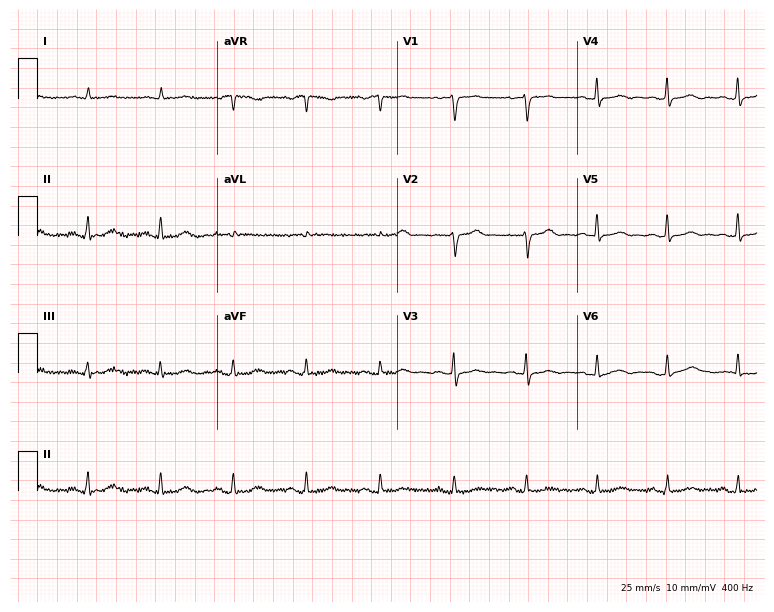
Electrocardiogram, a 47-year-old woman. Of the six screened findings (first-degree AV block, right bundle branch block (RBBB), left bundle branch block (LBBB), sinus bradycardia, atrial fibrillation (AF), sinus tachycardia), none is recorded.